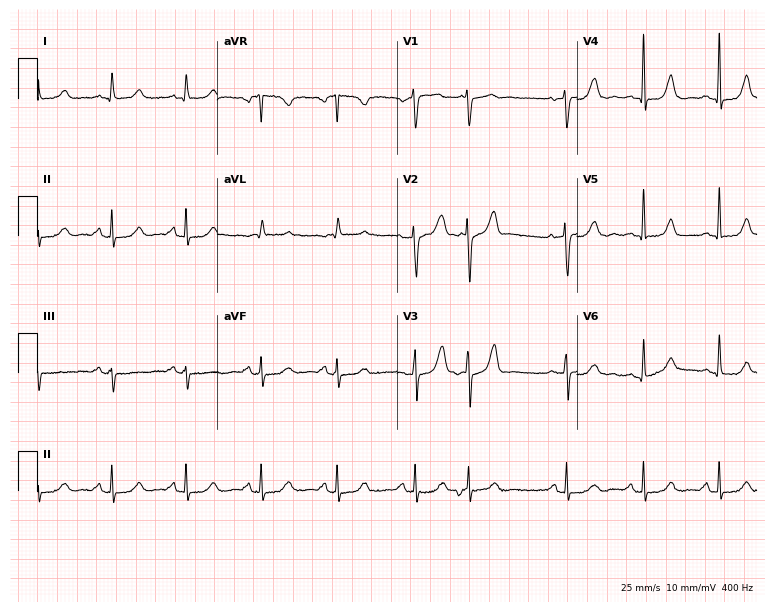
ECG — a man, 66 years old. Screened for six findings — first-degree AV block, right bundle branch block, left bundle branch block, sinus bradycardia, atrial fibrillation, sinus tachycardia — none is recorded.